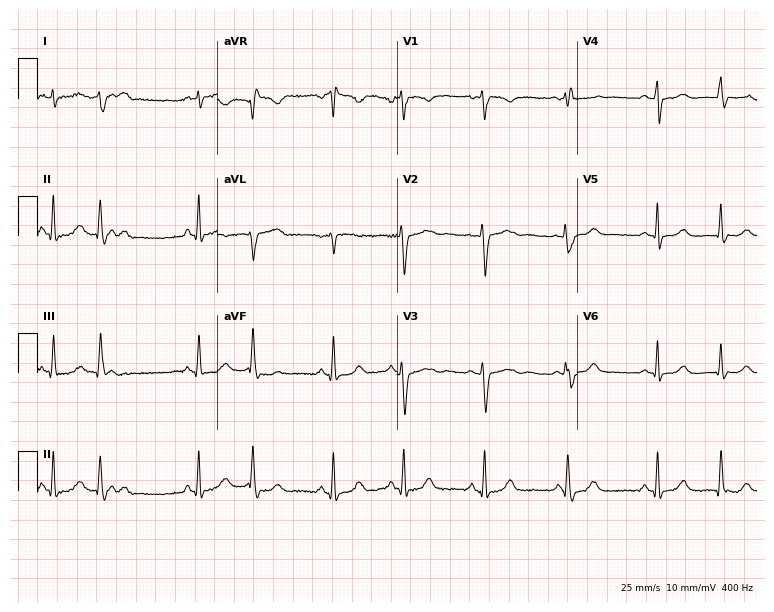
12-lead ECG from a female, 50 years old. Screened for six findings — first-degree AV block, right bundle branch block, left bundle branch block, sinus bradycardia, atrial fibrillation, sinus tachycardia — none is recorded. Other findings, if any, are not listed.